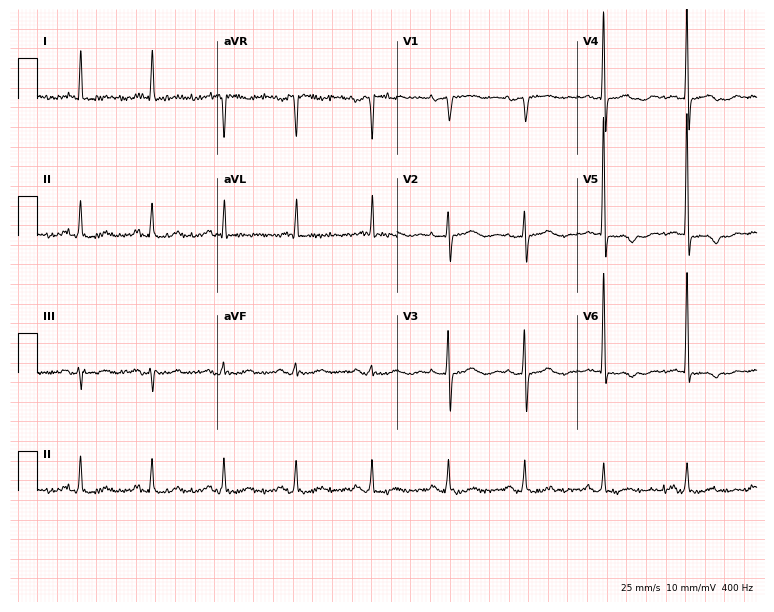
Standard 12-lead ECG recorded from a woman, 73 years old. None of these six findings is recorded: first-degree AV block, right bundle branch block, left bundle branch block, sinus bradycardia, atrial fibrillation, sinus tachycardia.